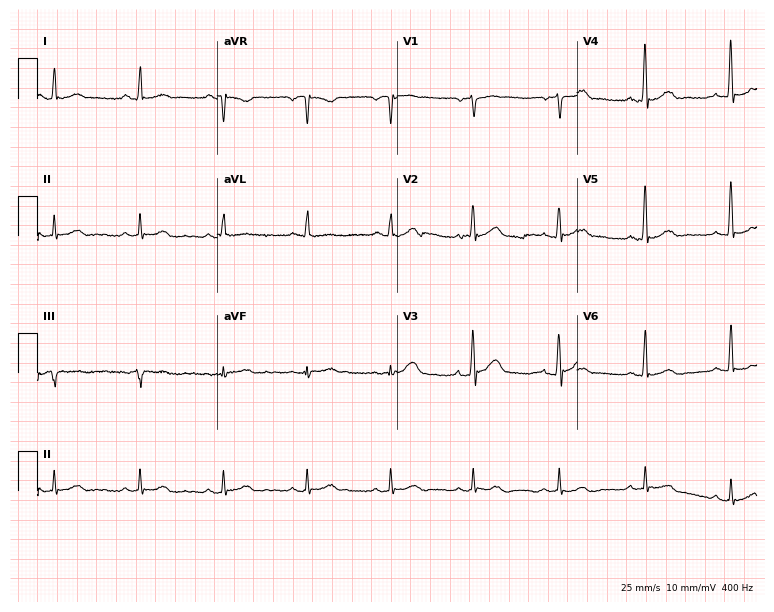
12-lead ECG from a male, 46 years old (7.3-second recording at 400 Hz). No first-degree AV block, right bundle branch block, left bundle branch block, sinus bradycardia, atrial fibrillation or sinus tachycardia recorded for this tracing. Other findings, if any, are not listed.